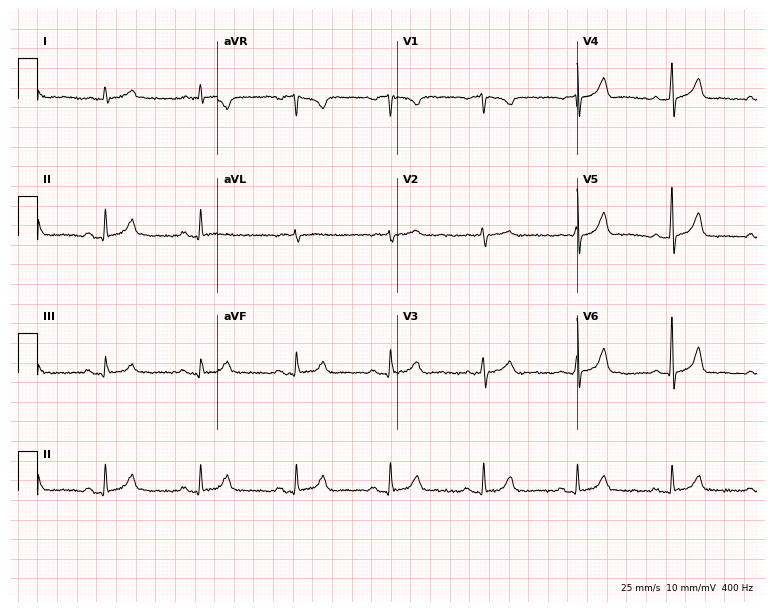
12-lead ECG from a 65-year-old male. Labelled as a normal ECG.